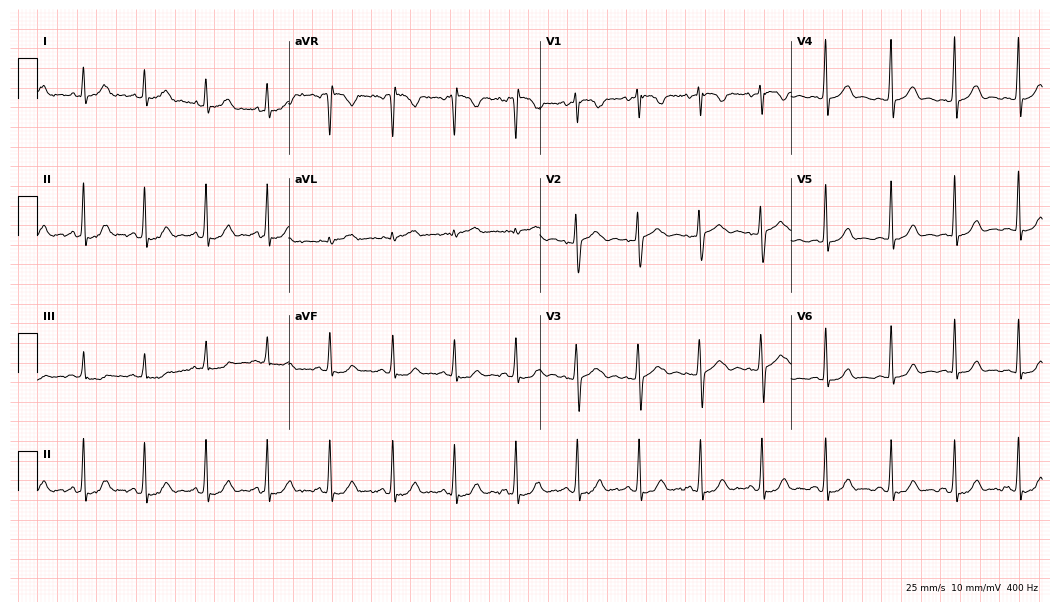
12-lead ECG (10.2-second recording at 400 Hz) from a woman, 21 years old. Labelled as a normal ECG.